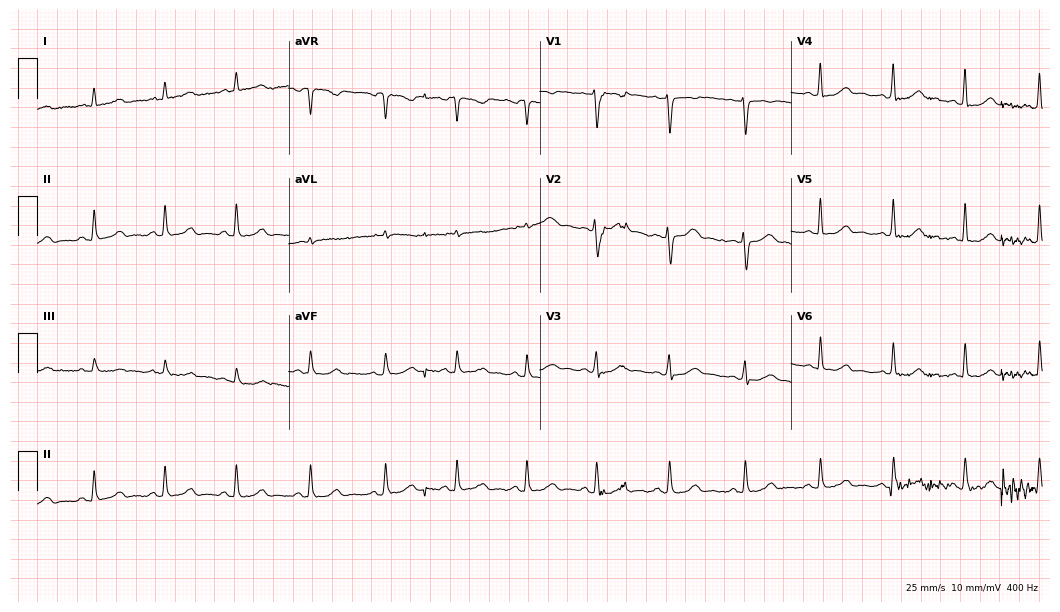
Standard 12-lead ECG recorded from a female, 39 years old (10.2-second recording at 400 Hz). Read as a normal ECG.